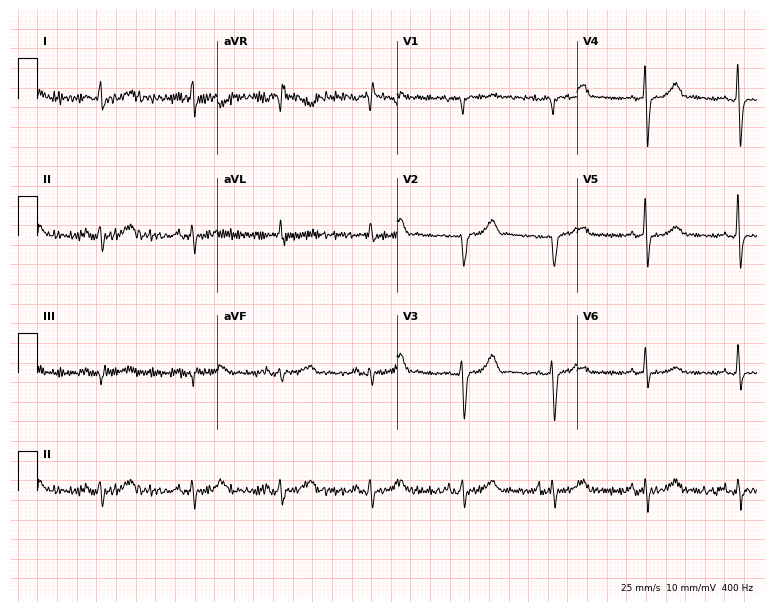
ECG — a female patient, 54 years old. Screened for six findings — first-degree AV block, right bundle branch block, left bundle branch block, sinus bradycardia, atrial fibrillation, sinus tachycardia — none is recorded. Only these six findings were labelled.